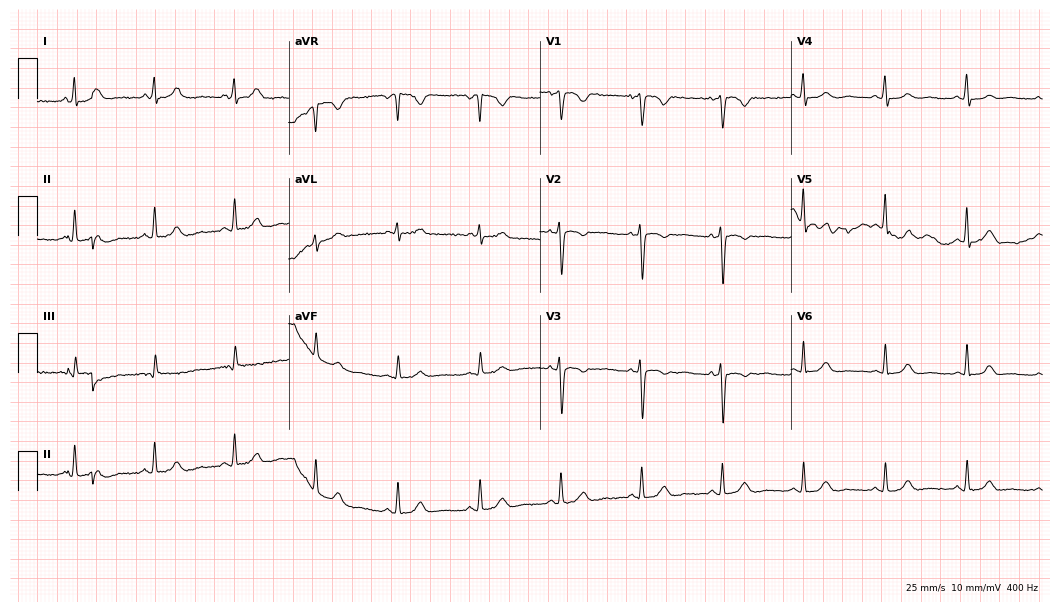
12-lead ECG (10.2-second recording at 400 Hz) from a female patient, 45 years old. Labelled as a normal ECG.